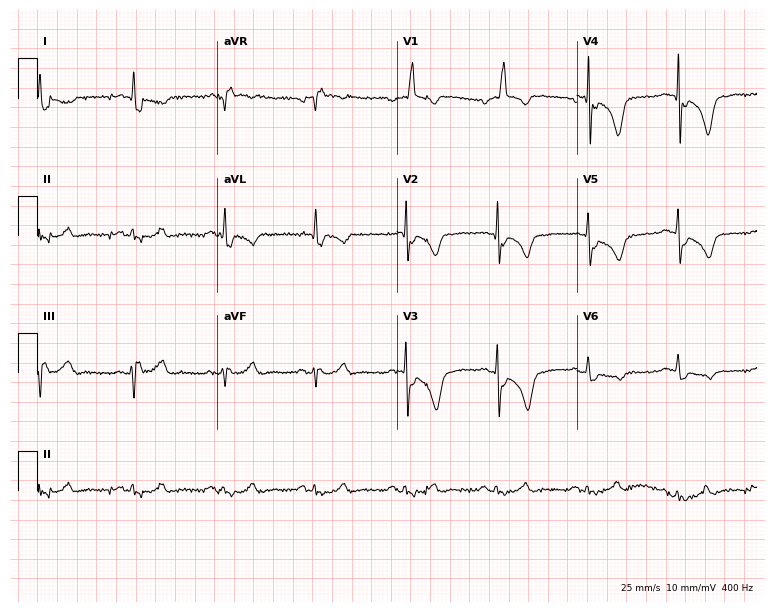
12-lead ECG from an 80-year-old man (7.3-second recording at 400 Hz). Shows right bundle branch block.